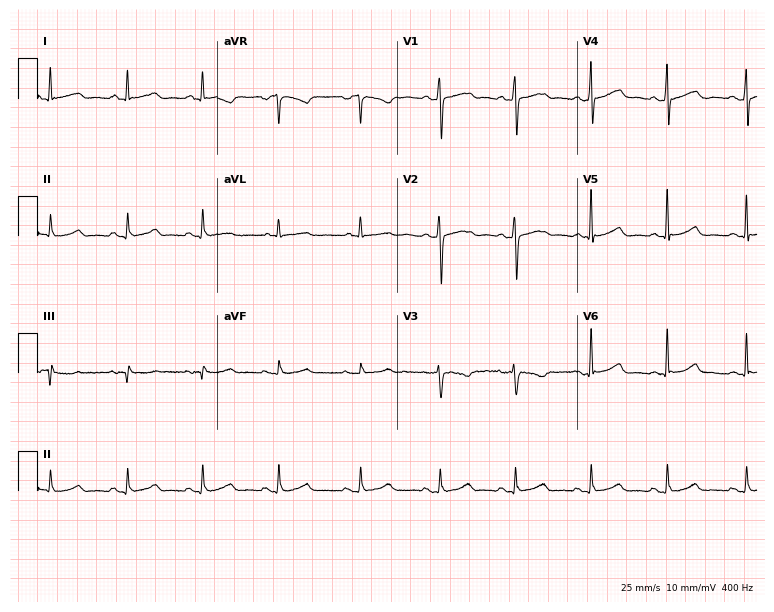
12-lead ECG from a 46-year-old female patient. No first-degree AV block, right bundle branch block, left bundle branch block, sinus bradycardia, atrial fibrillation or sinus tachycardia recorded for this tracing.